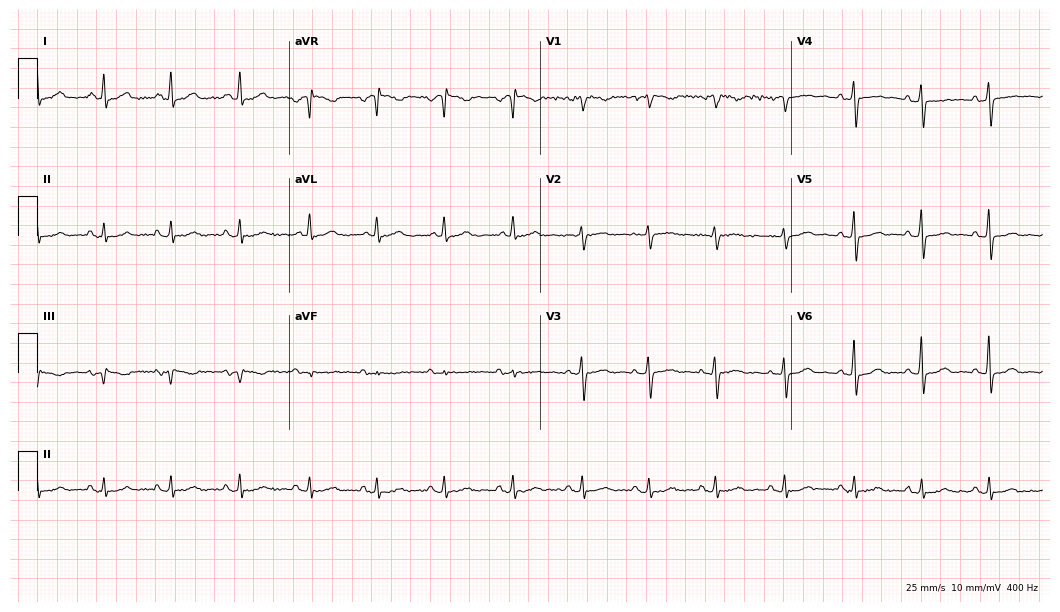
Standard 12-lead ECG recorded from a female, 64 years old. None of these six findings is recorded: first-degree AV block, right bundle branch block, left bundle branch block, sinus bradycardia, atrial fibrillation, sinus tachycardia. Findings outside these six are not listed.